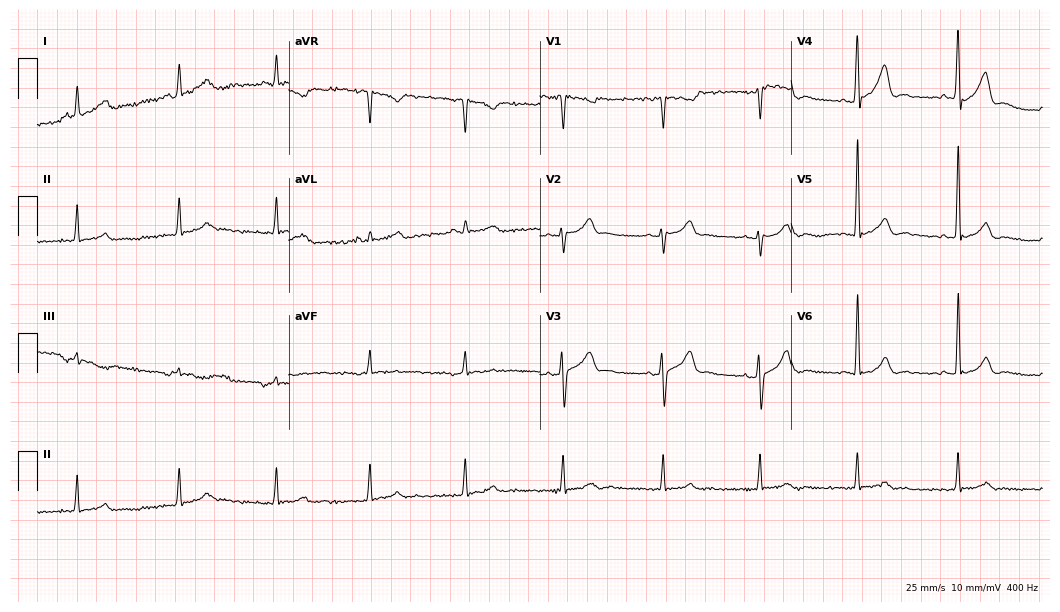
12-lead ECG from a male patient, 48 years old. Recorded interpretation: within normal limits.